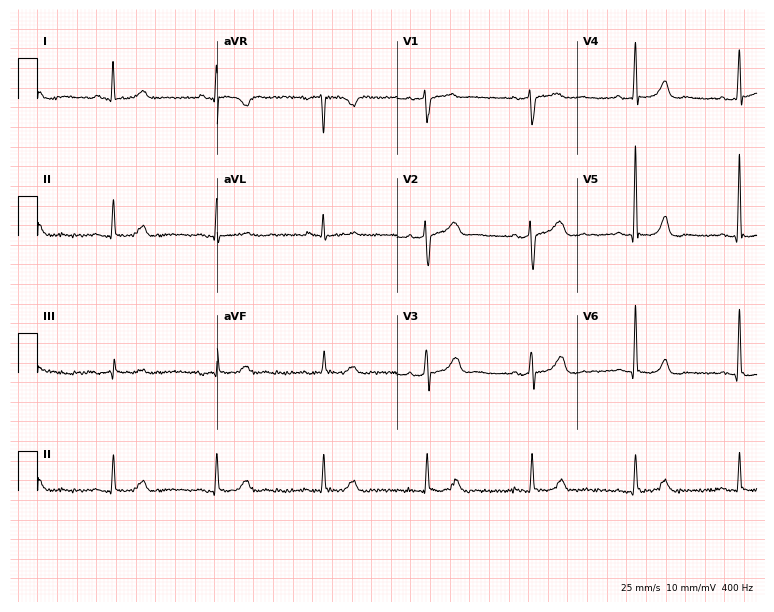
ECG — a 57-year-old male patient. Screened for six findings — first-degree AV block, right bundle branch block, left bundle branch block, sinus bradycardia, atrial fibrillation, sinus tachycardia — none is recorded.